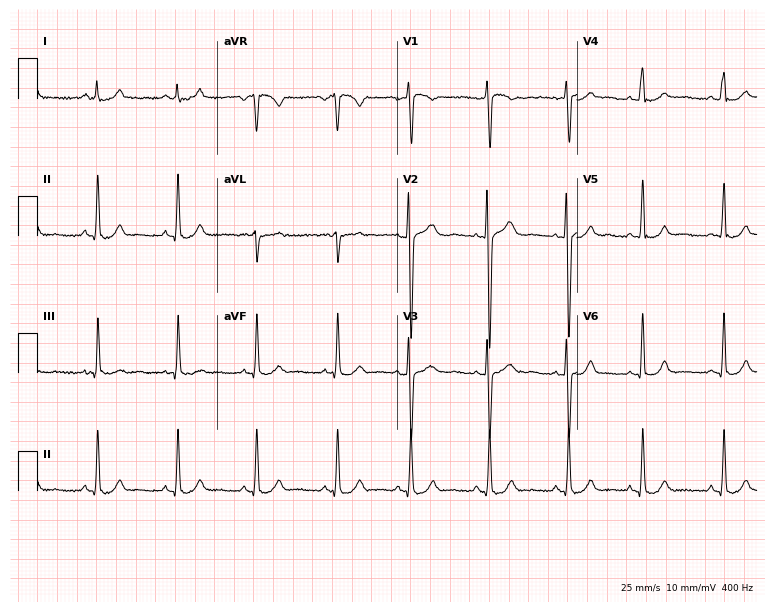
12-lead ECG from a 26-year-old female patient. Labelled as a normal ECG.